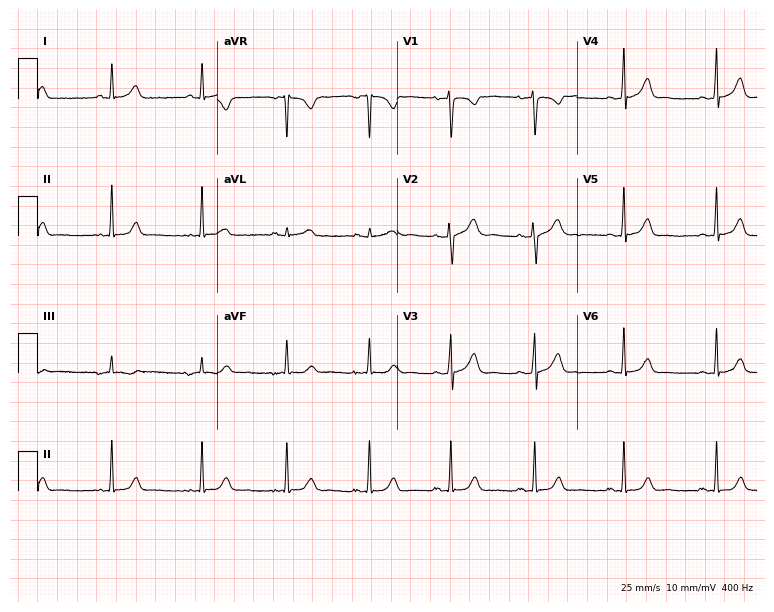
Resting 12-lead electrocardiogram. Patient: a 29-year-old woman. Read as a normal ECG.